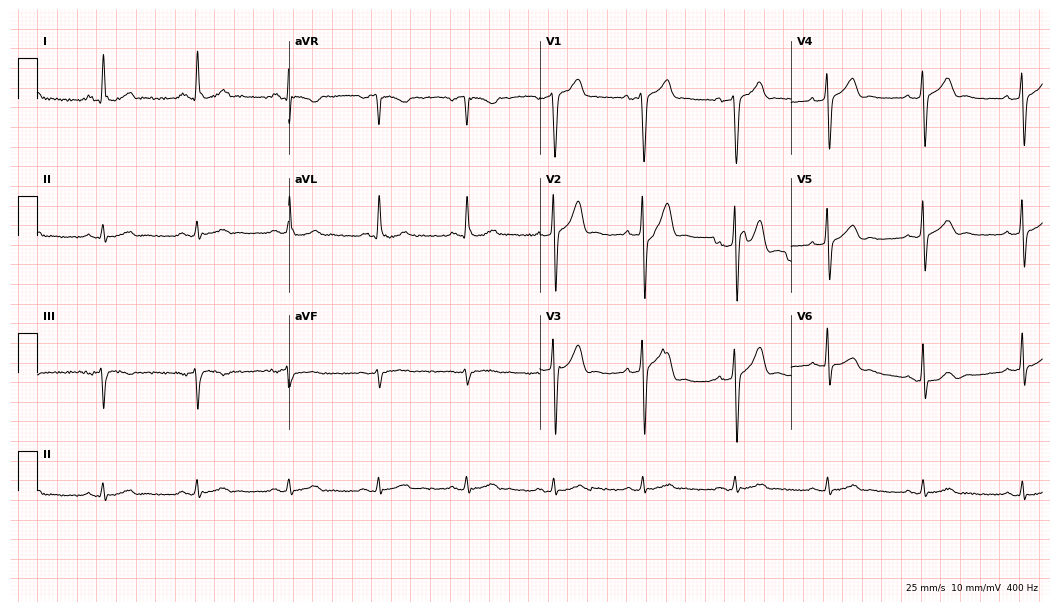
12-lead ECG from a 56-year-old man. No first-degree AV block, right bundle branch block (RBBB), left bundle branch block (LBBB), sinus bradycardia, atrial fibrillation (AF) or sinus tachycardia recorded for this tracing.